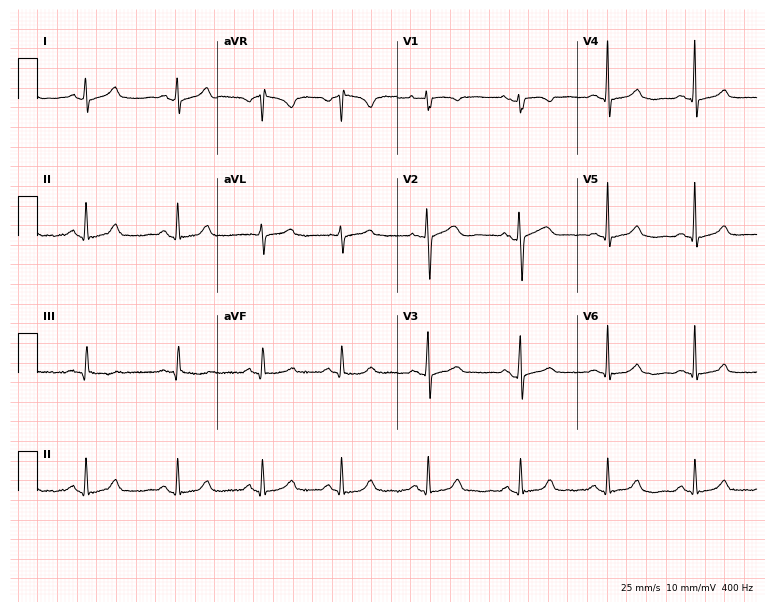
Standard 12-lead ECG recorded from a 28-year-old female patient (7.3-second recording at 400 Hz). None of these six findings is recorded: first-degree AV block, right bundle branch block (RBBB), left bundle branch block (LBBB), sinus bradycardia, atrial fibrillation (AF), sinus tachycardia. Only these six findings were labelled.